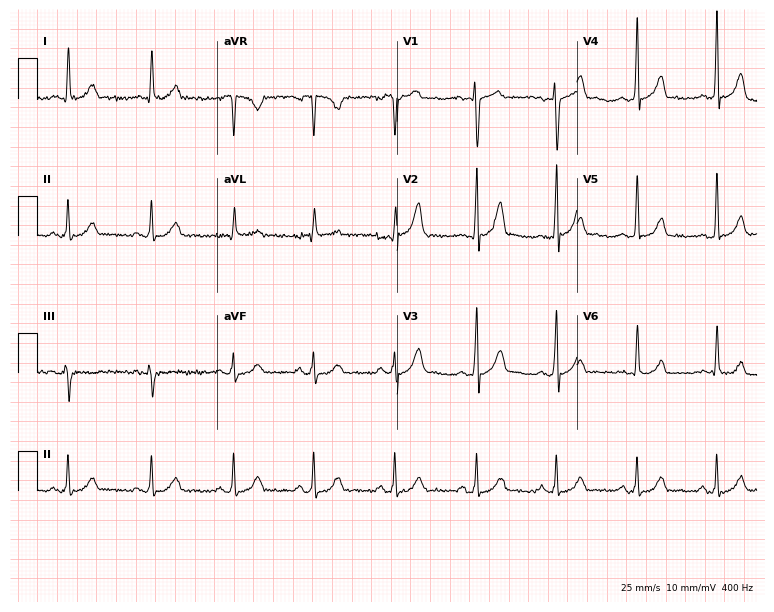
Standard 12-lead ECG recorded from a man, 47 years old. Read as a normal ECG.